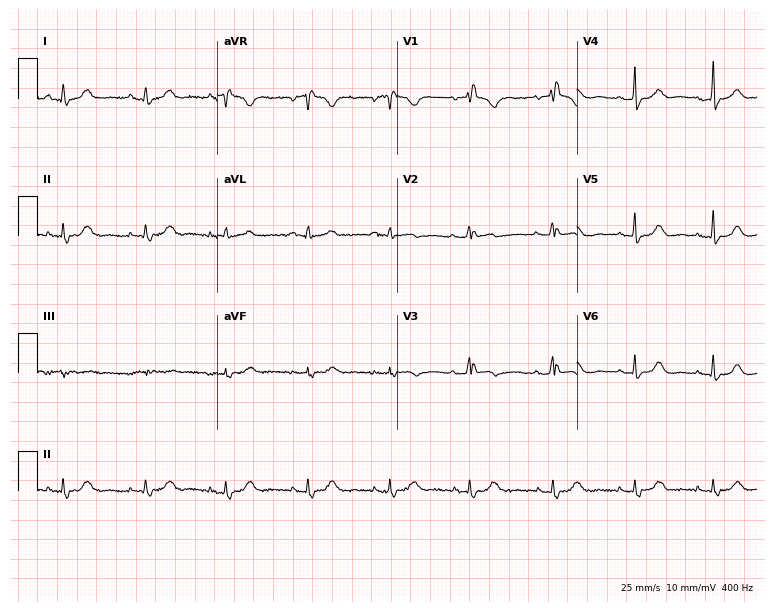
Standard 12-lead ECG recorded from a female, 53 years old. The tracing shows right bundle branch block (RBBB).